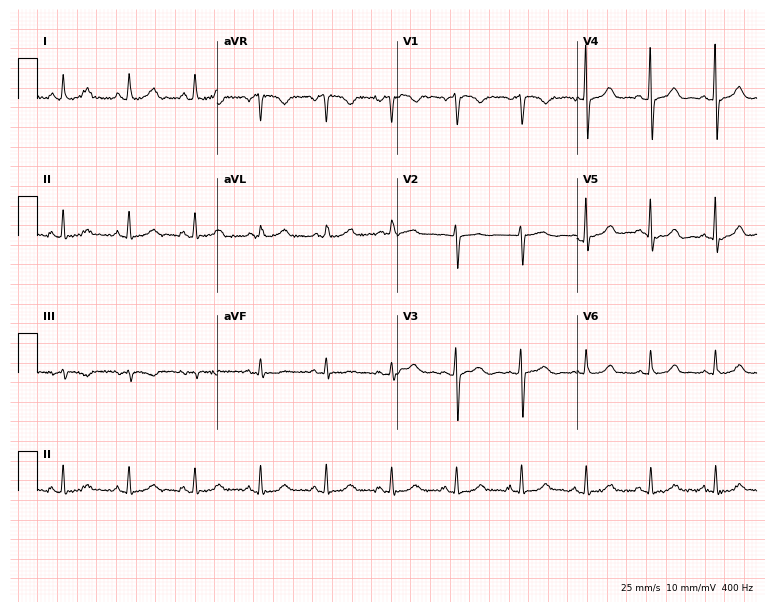
12-lead ECG from a 57-year-old female. Labelled as a normal ECG.